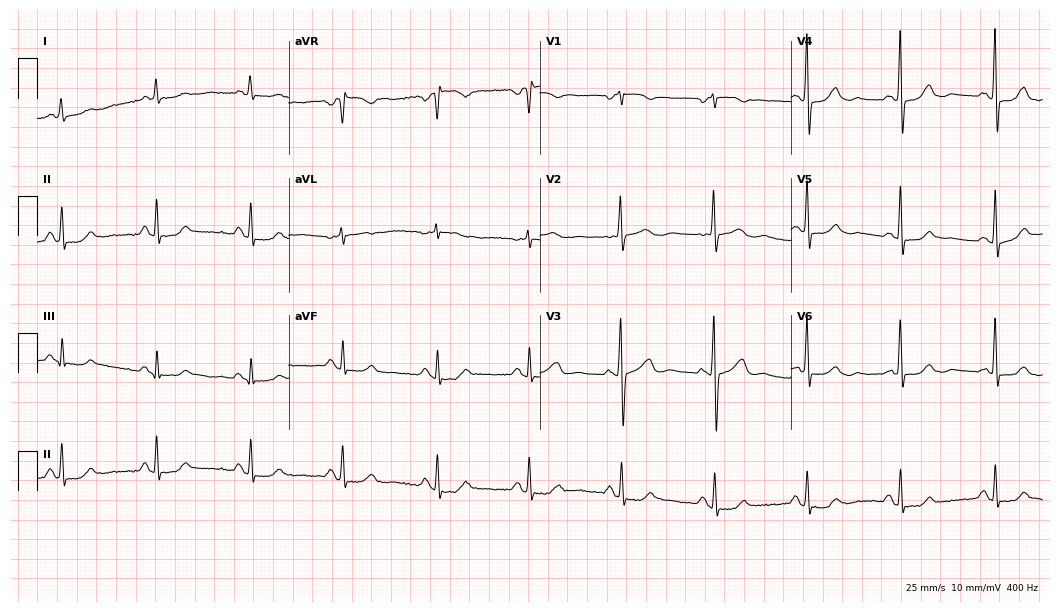
Electrocardiogram, a female, 84 years old. Overall reading on record: normal ECG.